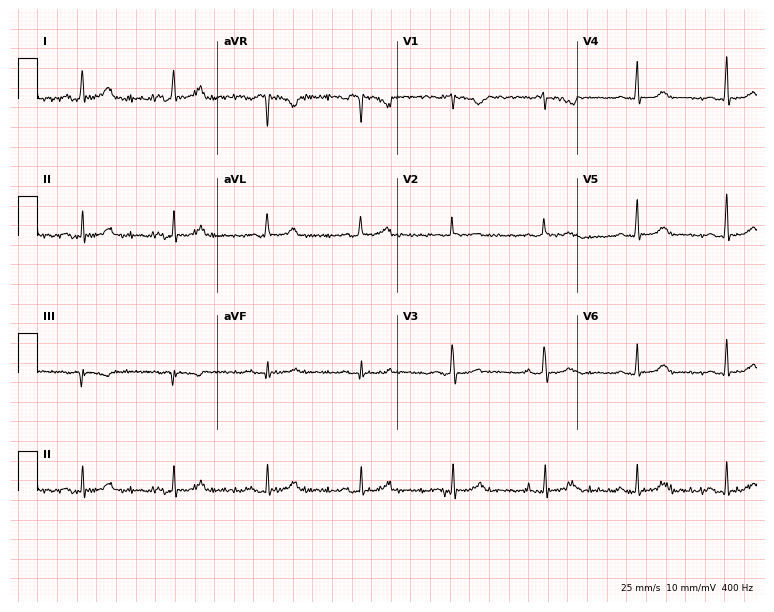
12-lead ECG from a woman, 55 years old (7.3-second recording at 400 Hz). Recorded interpretation: within normal limits.